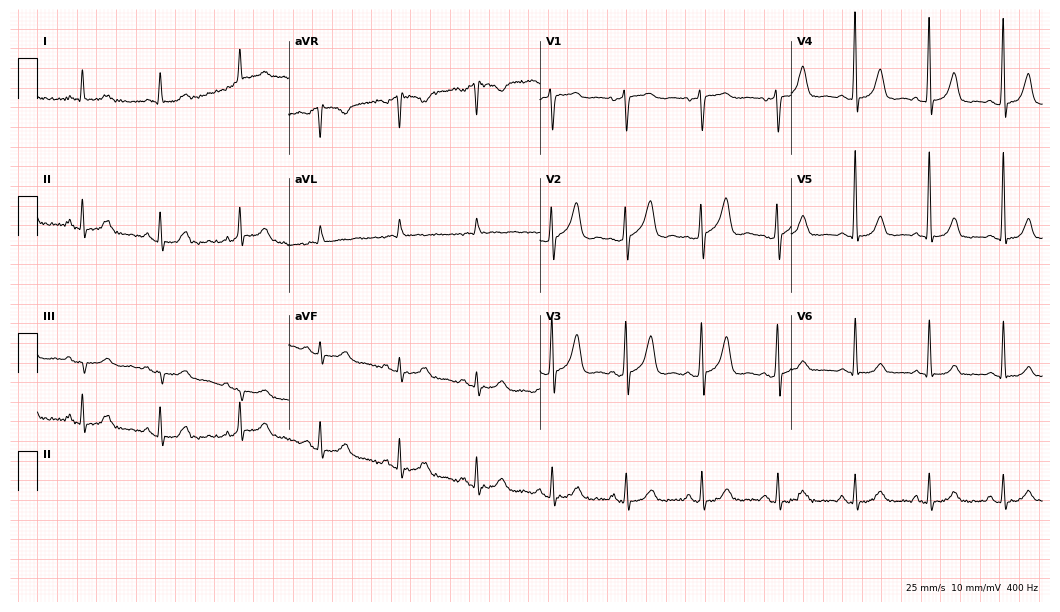
12-lead ECG from a 57-year-old man. Labelled as a normal ECG.